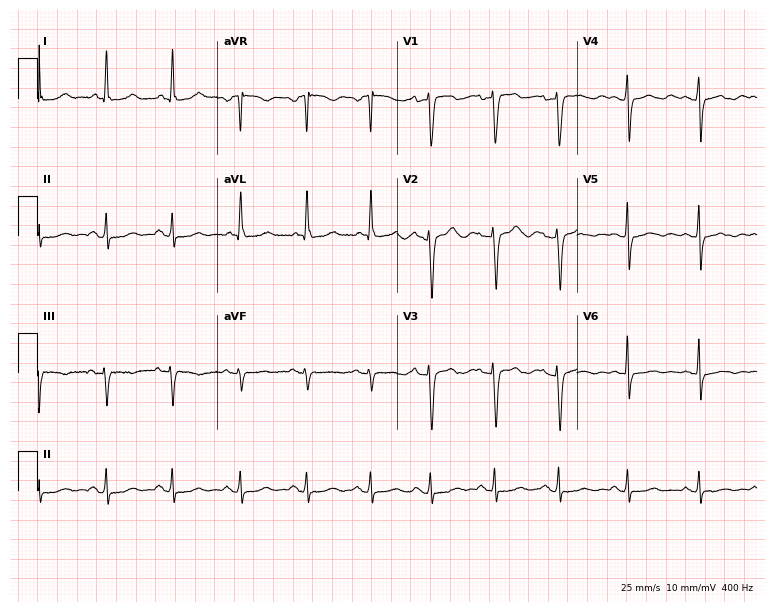
12-lead ECG (7.3-second recording at 400 Hz) from a woman, 60 years old. Labelled as a normal ECG.